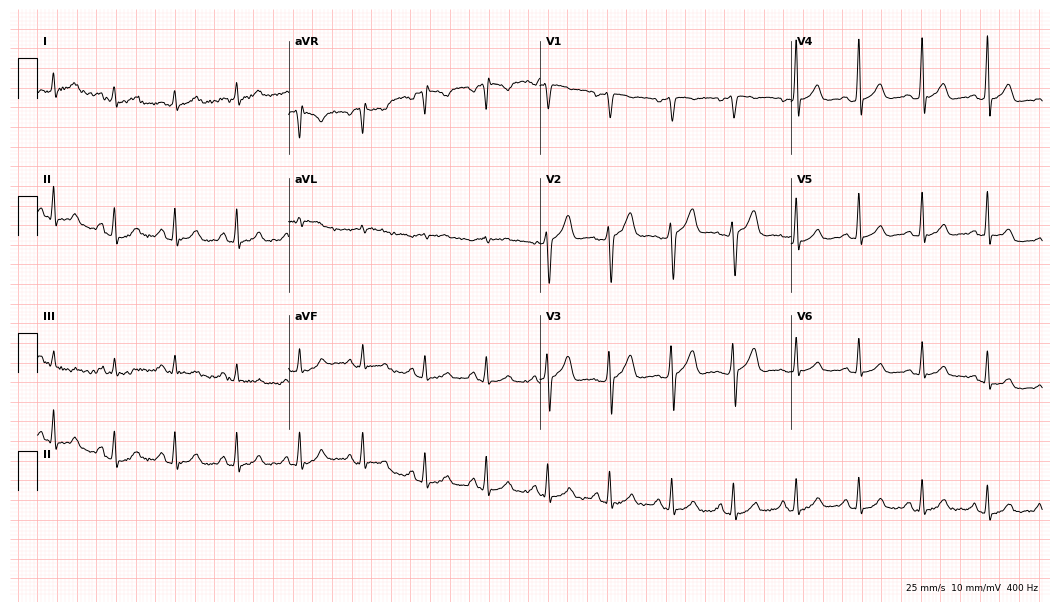
12-lead ECG (10.2-second recording at 400 Hz) from a 44-year-old male patient. Labelled as a normal ECG.